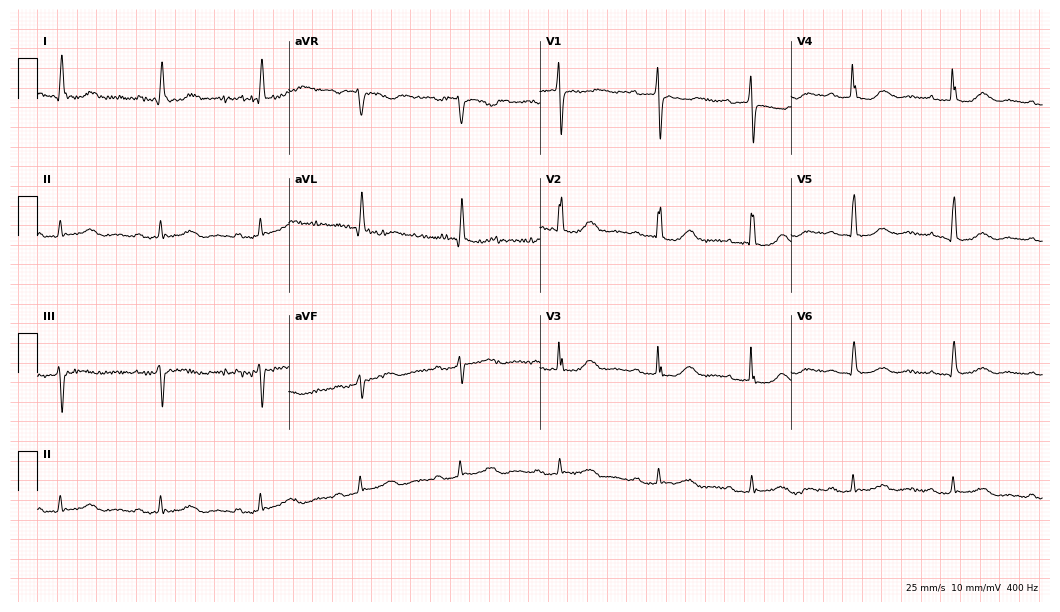
Standard 12-lead ECG recorded from an 86-year-old female. The tracing shows first-degree AV block.